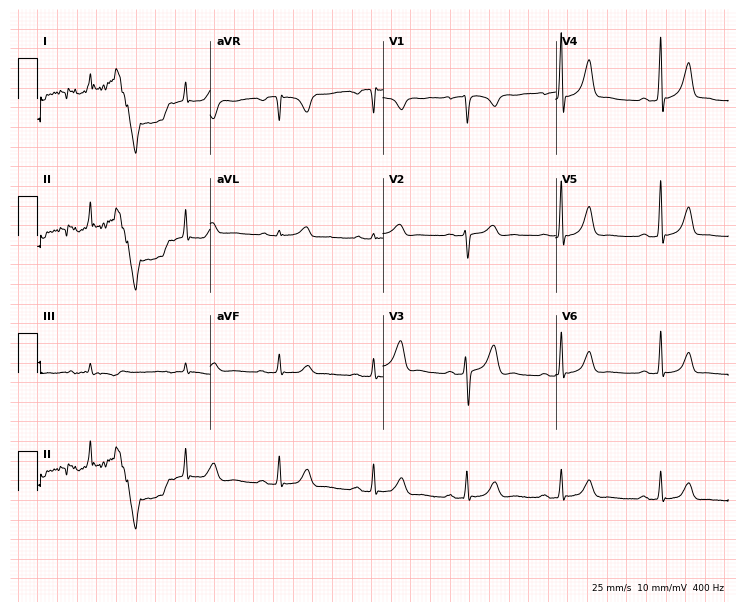
Electrocardiogram, a 30-year-old man. Of the six screened findings (first-degree AV block, right bundle branch block, left bundle branch block, sinus bradycardia, atrial fibrillation, sinus tachycardia), none is recorded.